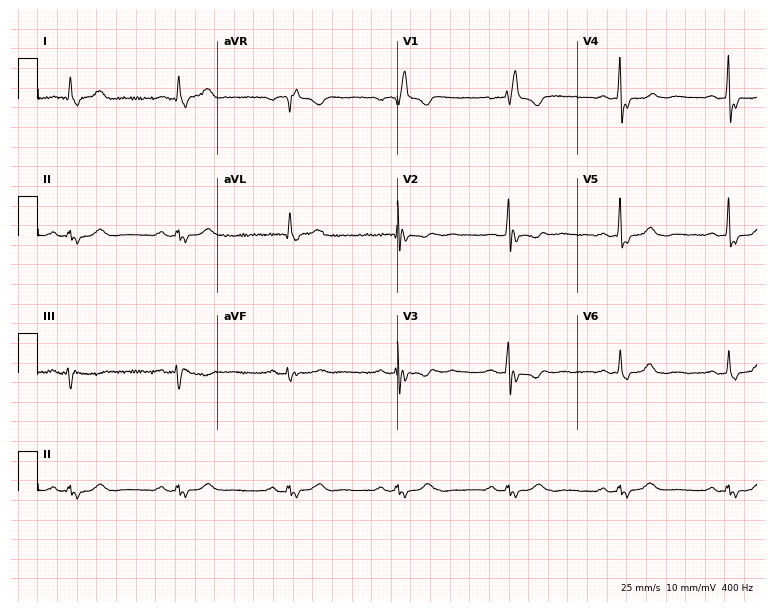
ECG — a 66-year-old female. Findings include right bundle branch block.